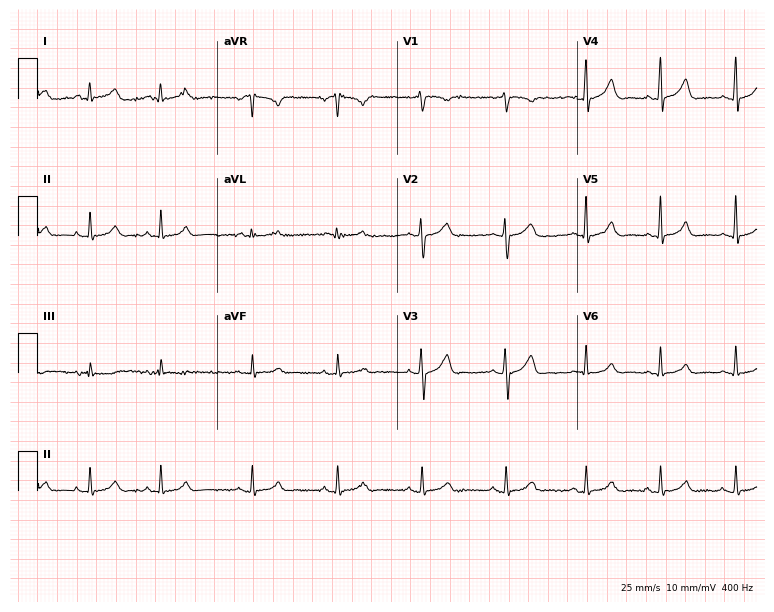
Electrocardiogram, a 30-year-old female patient. Overall reading on record: normal ECG.